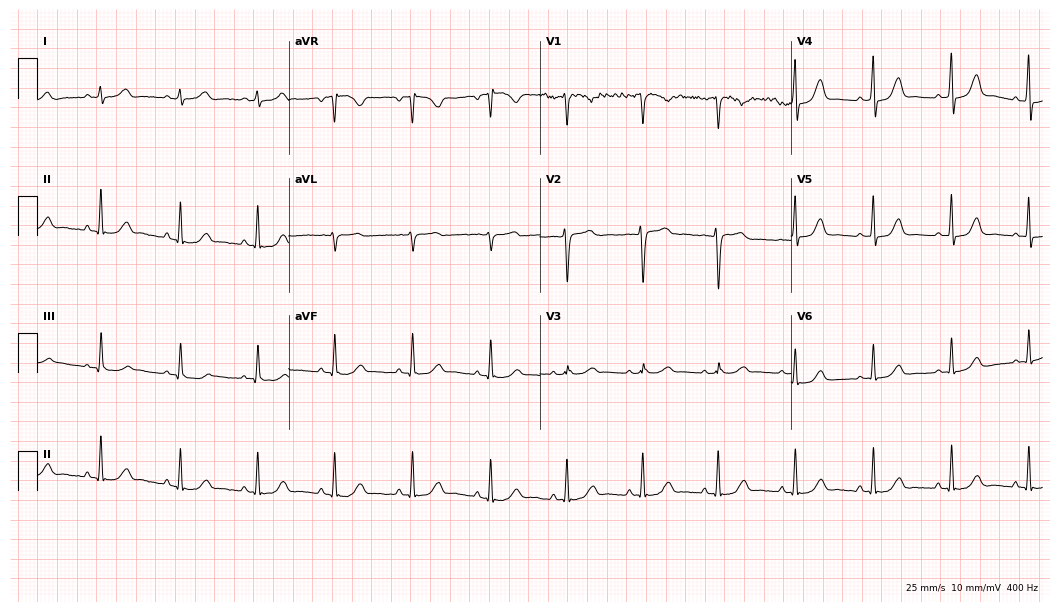
Resting 12-lead electrocardiogram (10.2-second recording at 400 Hz). Patient: a 35-year-old female. Read as a normal ECG.